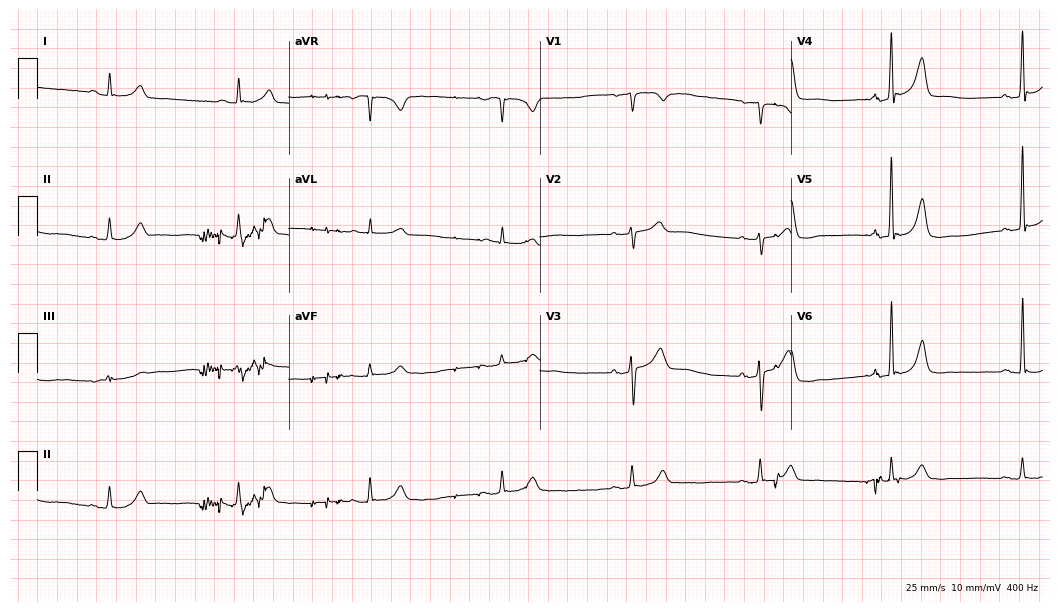
Standard 12-lead ECG recorded from a 68-year-old man. None of these six findings is recorded: first-degree AV block, right bundle branch block (RBBB), left bundle branch block (LBBB), sinus bradycardia, atrial fibrillation (AF), sinus tachycardia.